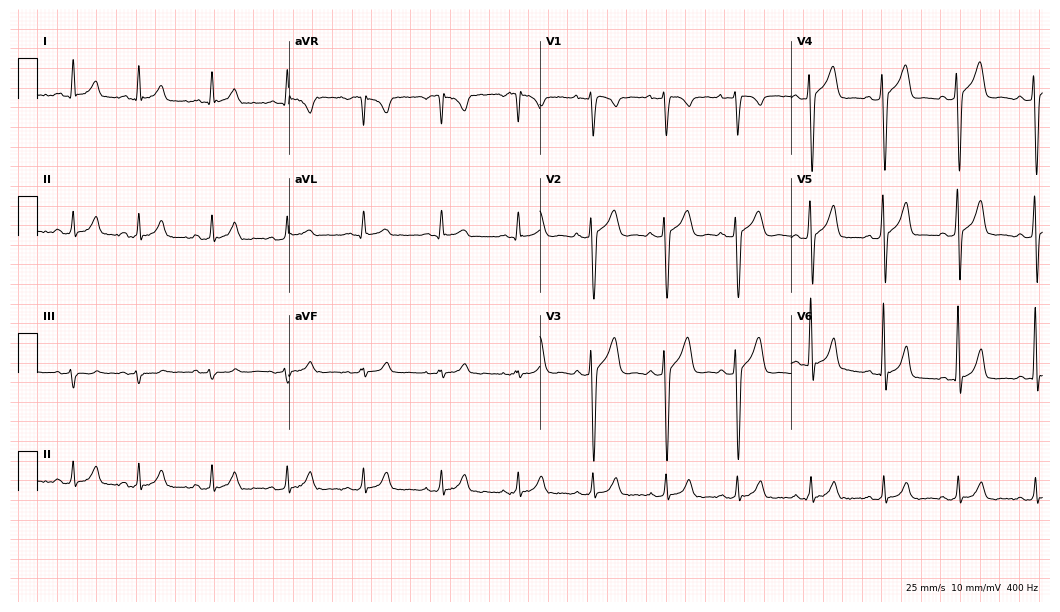
12-lead ECG from a 23-year-old male. Labelled as a normal ECG.